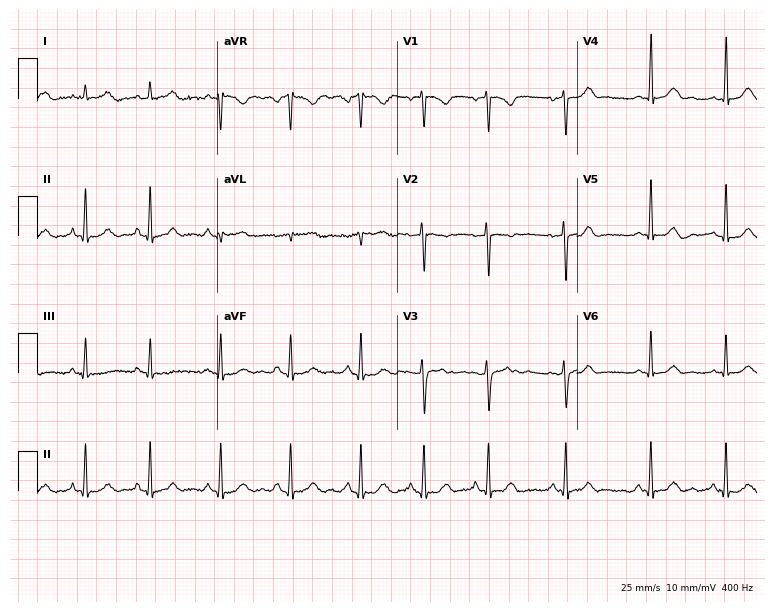
12-lead ECG from a female patient, 29 years old (7.3-second recording at 400 Hz). Recorded interpretation: within normal limits.